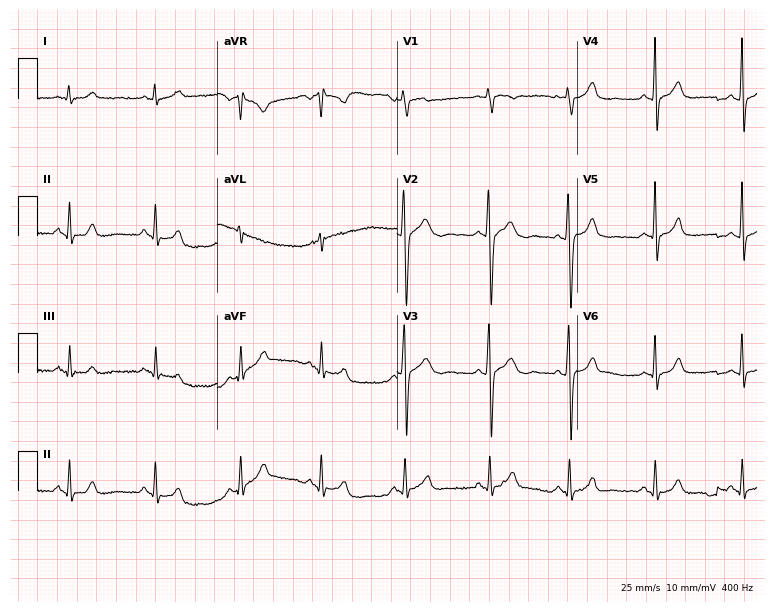
12-lead ECG from a woman, 23 years old (7.3-second recording at 400 Hz). No first-degree AV block, right bundle branch block, left bundle branch block, sinus bradycardia, atrial fibrillation or sinus tachycardia recorded for this tracing. Findings outside these six are not listed.